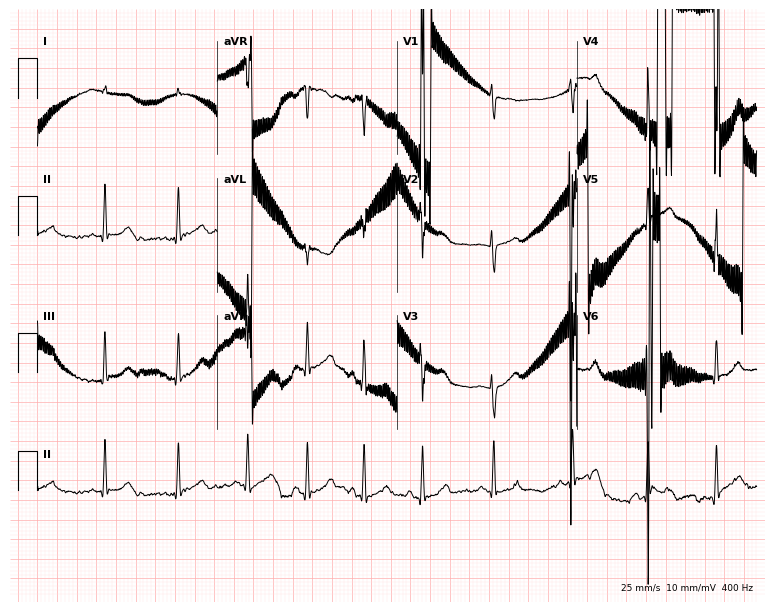
12-lead ECG from a 22-year-old female. Screened for six findings — first-degree AV block, right bundle branch block, left bundle branch block, sinus bradycardia, atrial fibrillation, sinus tachycardia — none is recorded.